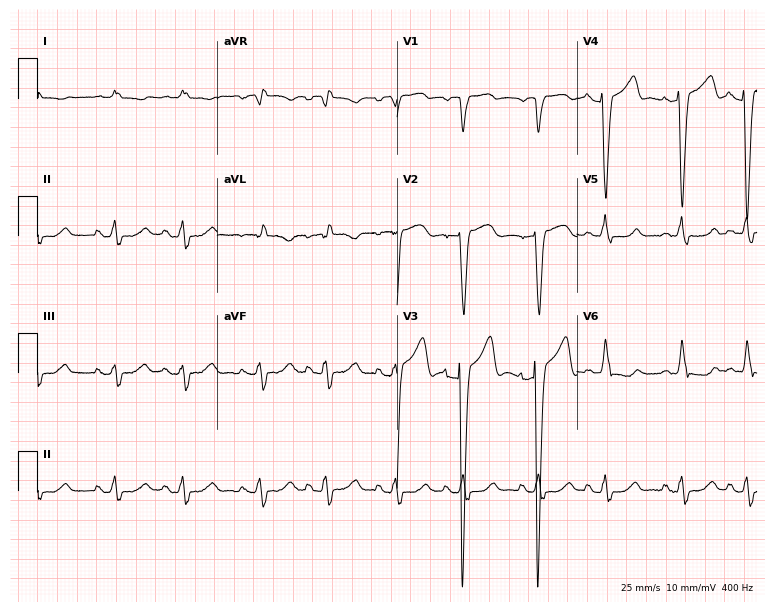
Electrocardiogram (7.3-second recording at 400 Hz), a female patient, 85 years old. Interpretation includes left bundle branch block.